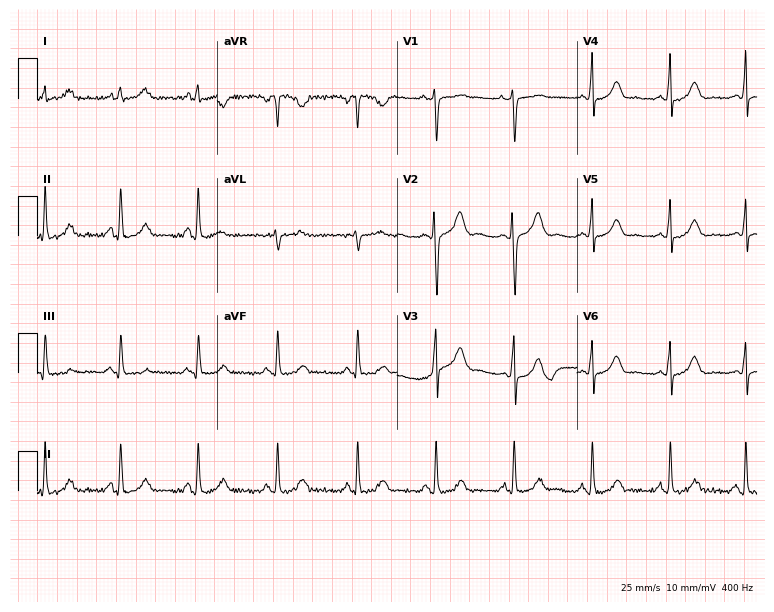
12-lead ECG from a female patient, 23 years old. Screened for six findings — first-degree AV block, right bundle branch block, left bundle branch block, sinus bradycardia, atrial fibrillation, sinus tachycardia — none is recorded. Other findings, if any, are not listed.